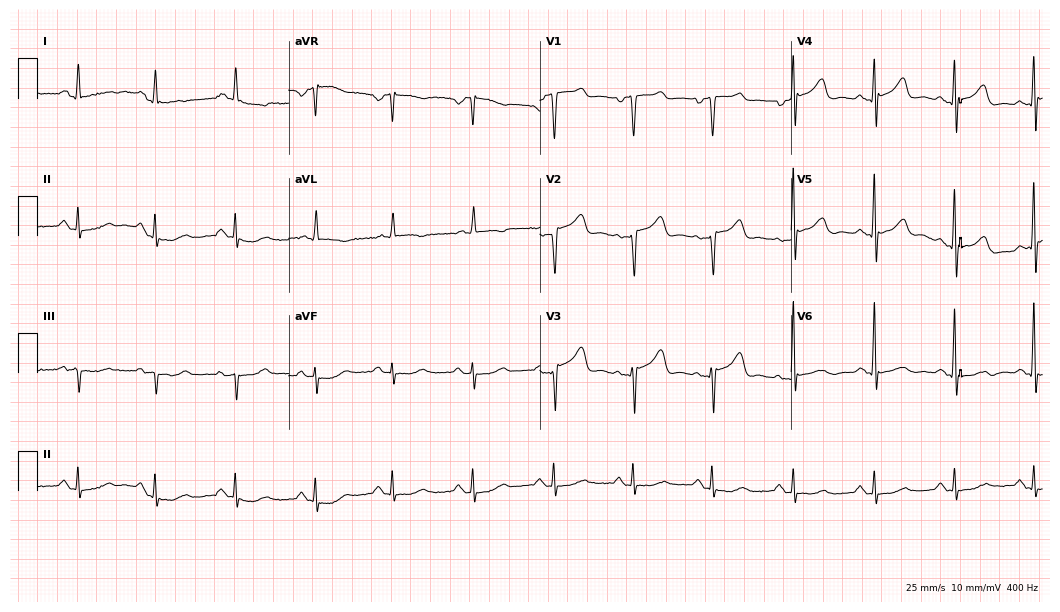
Electrocardiogram, a 76-year-old female. Of the six screened findings (first-degree AV block, right bundle branch block (RBBB), left bundle branch block (LBBB), sinus bradycardia, atrial fibrillation (AF), sinus tachycardia), none is recorded.